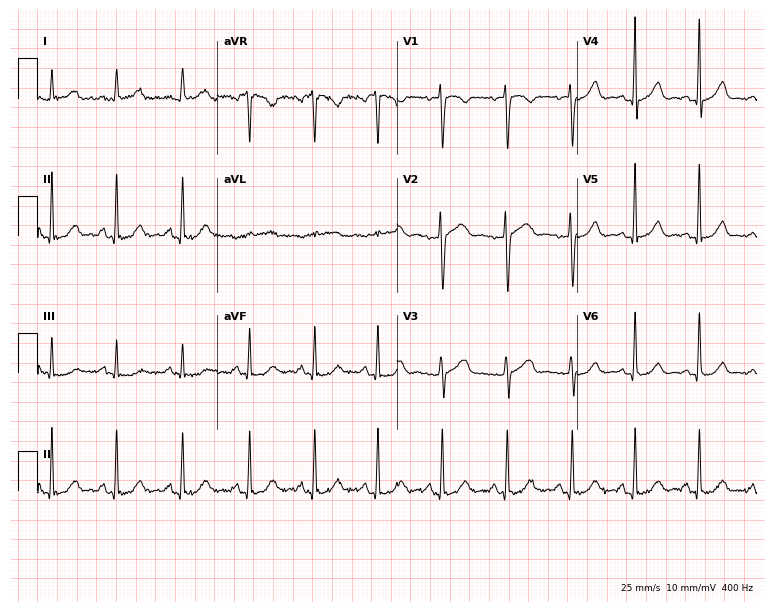
12-lead ECG (7.3-second recording at 400 Hz) from a female, 38 years old. Screened for six findings — first-degree AV block, right bundle branch block, left bundle branch block, sinus bradycardia, atrial fibrillation, sinus tachycardia — none is recorded.